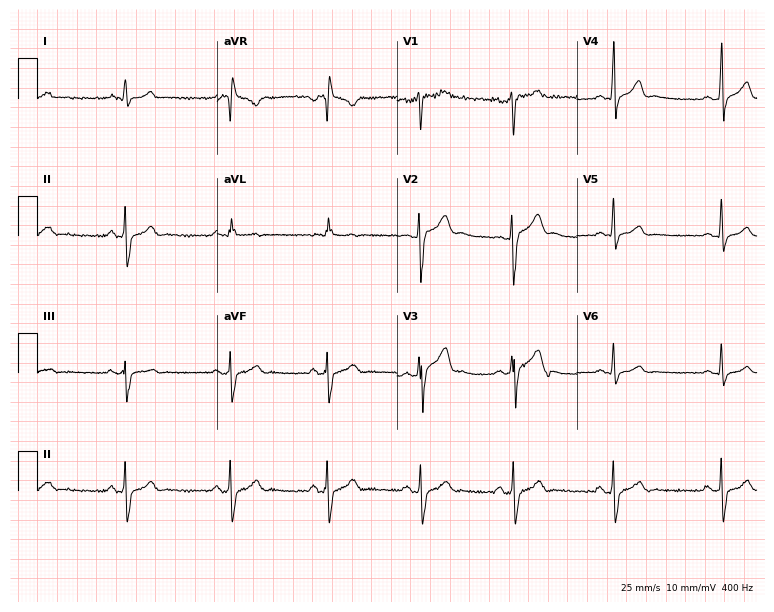
Electrocardiogram (7.3-second recording at 400 Hz), a 21-year-old male. Of the six screened findings (first-degree AV block, right bundle branch block (RBBB), left bundle branch block (LBBB), sinus bradycardia, atrial fibrillation (AF), sinus tachycardia), none is recorded.